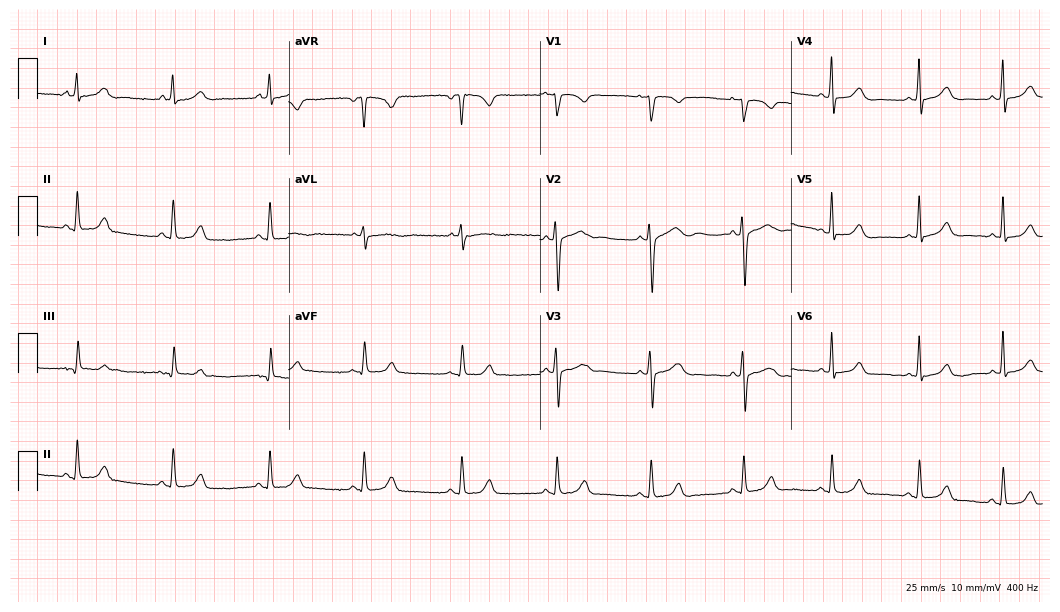
12-lead ECG from a female patient, 31 years old (10.2-second recording at 400 Hz). Recorded interpretation: within normal limits.